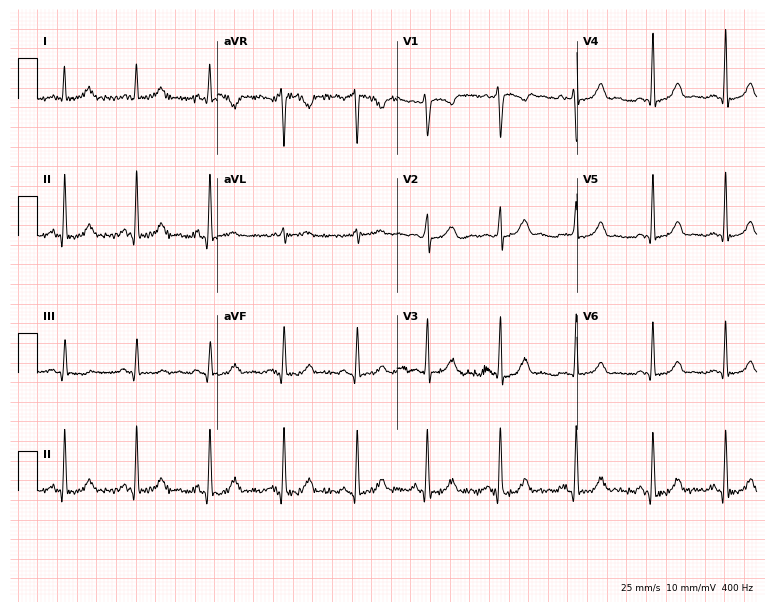
Resting 12-lead electrocardiogram. Patient: a female, 36 years old. None of these six findings is recorded: first-degree AV block, right bundle branch block, left bundle branch block, sinus bradycardia, atrial fibrillation, sinus tachycardia.